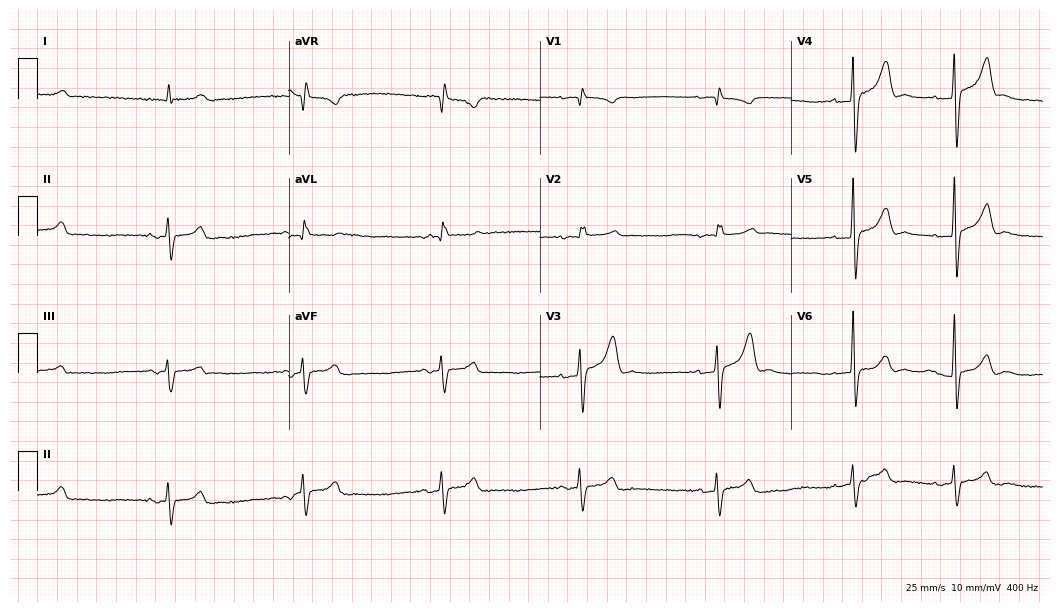
12-lead ECG from a 78-year-old man. Findings include sinus bradycardia (a sinus rate of 50 beats per minute or less).